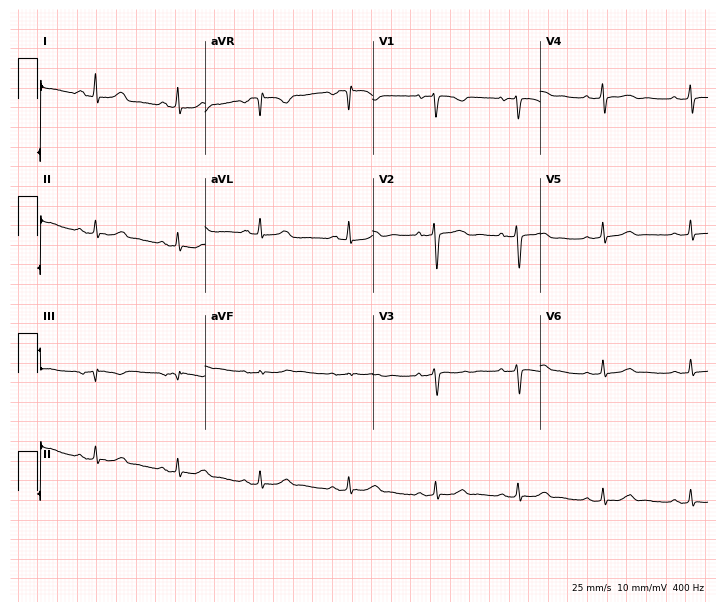
Electrocardiogram (6.8-second recording at 400 Hz), a 43-year-old female. Overall reading on record: normal ECG.